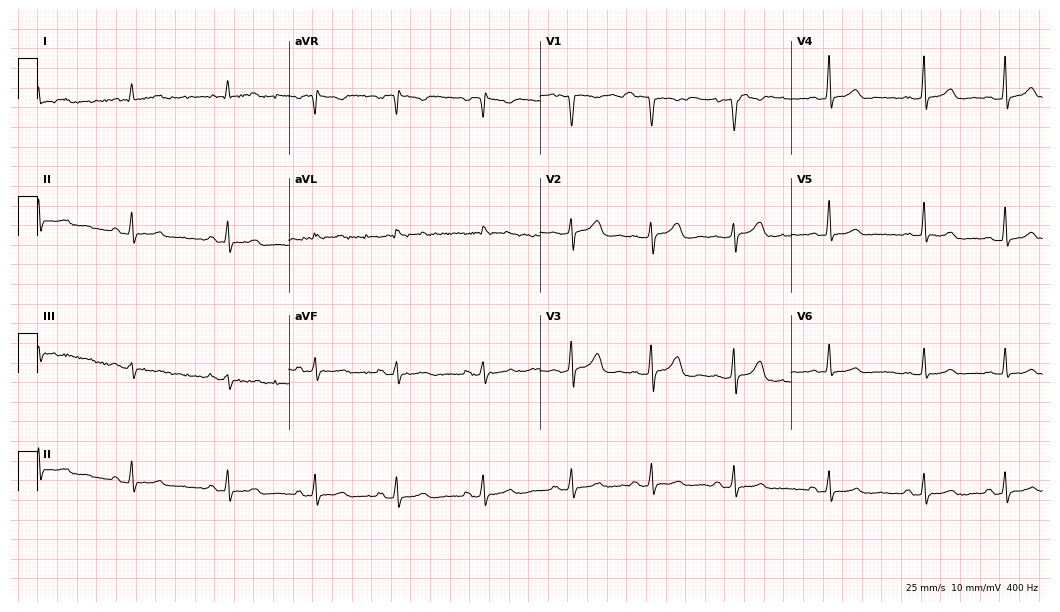
Resting 12-lead electrocardiogram (10.2-second recording at 400 Hz). Patient: a female, 34 years old. Read as a normal ECG.